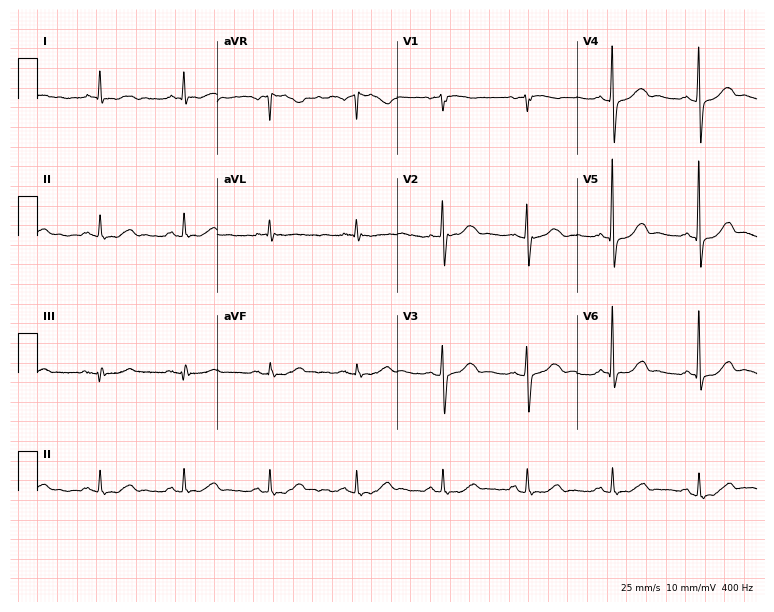
Electrocardiogram, a 63-year-old female patient. Overall reading on record: normal ECG.